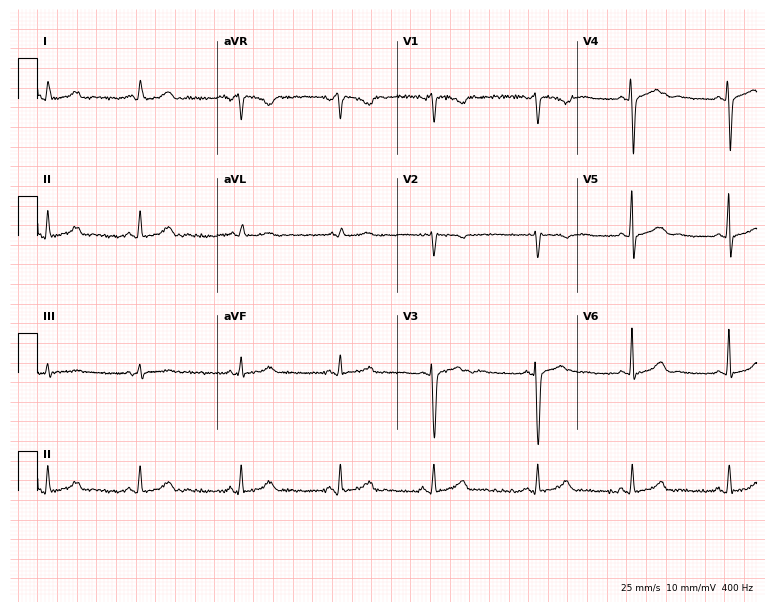
12-lead ECG (7.3-second recording at 400 Hz) from a man, 18 years old. Screened for six findings — first-degree AV block, right bundle branch block, left bundle branch block, sinus bradycardia, atrial fibrillation, sinus tachycardia — none is recorded. Findings outside these six are not listed.